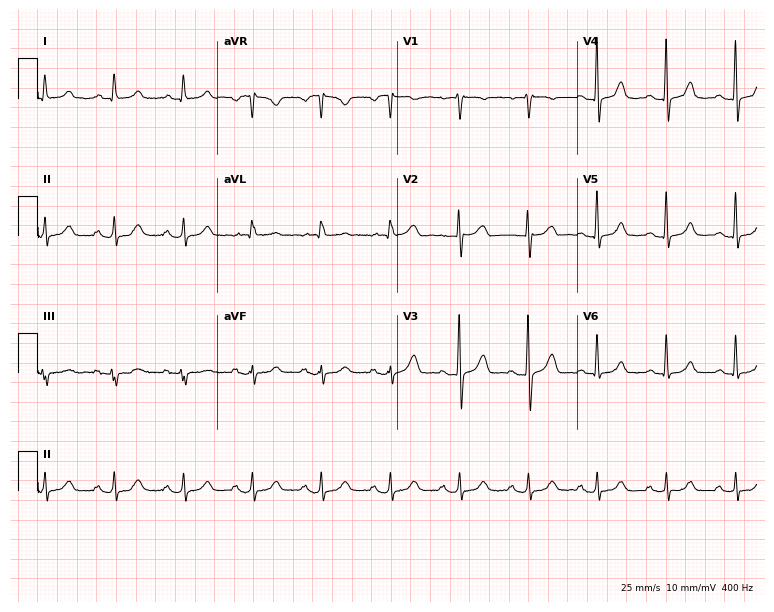
12-lead ECG from a female, 70 years old. Recorded interpretation: within normal limits.